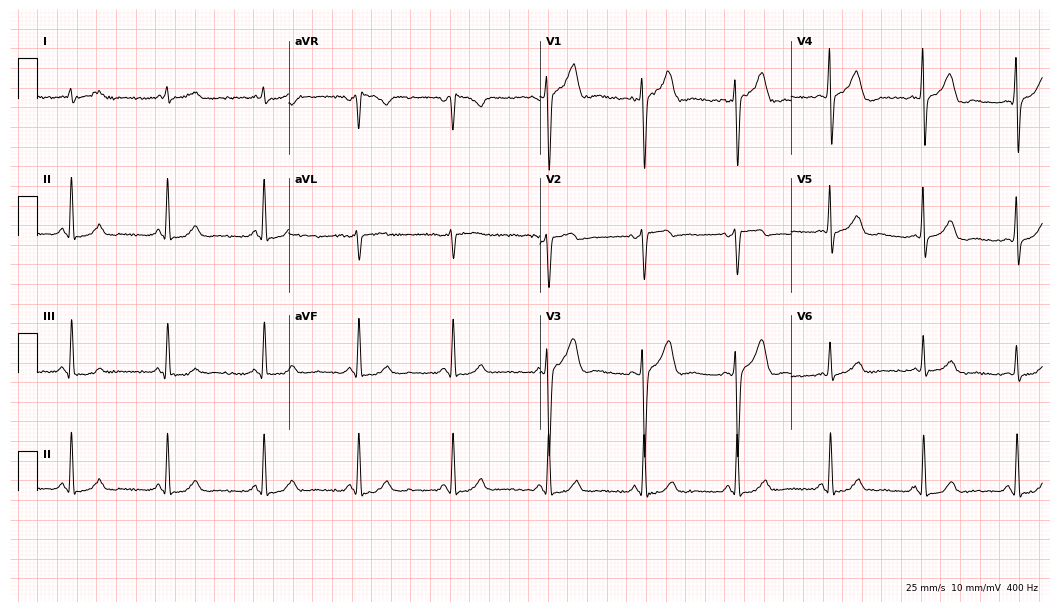
12-lead ECG from a male patient, 54 years old. Labelled as a normal ECG.